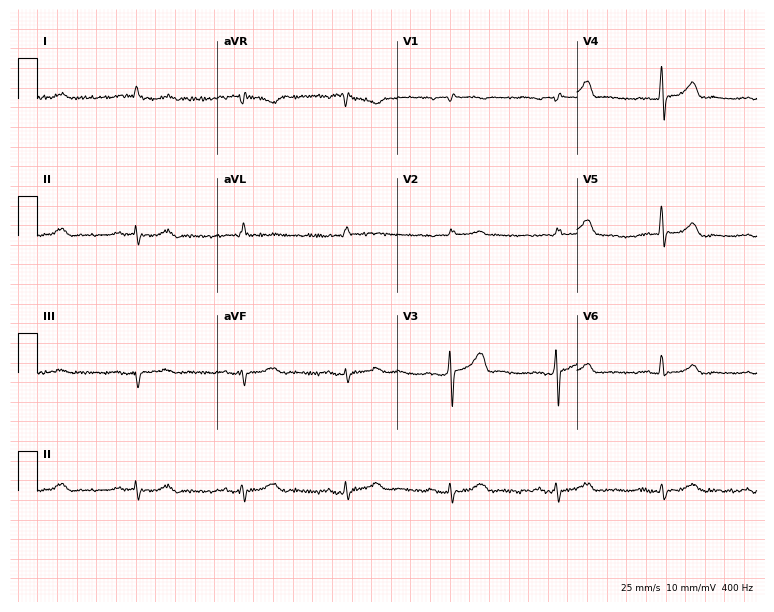
Standard 12-lead ECG recorded from a 66-year-old man. None of these six findings is recorded: first-degree AV block, right bundle branch block (RBBB), left bundle branch block (LBBB), sinus bradycardia, atrial fibrillation (AF), sinus tachycardia.